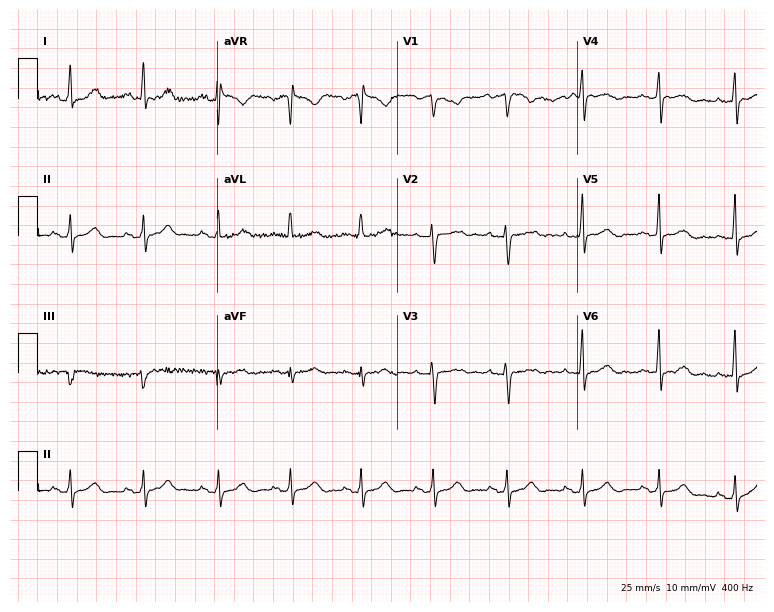
ECG — a 35-year-old woman. Labelled as a normal ECG.